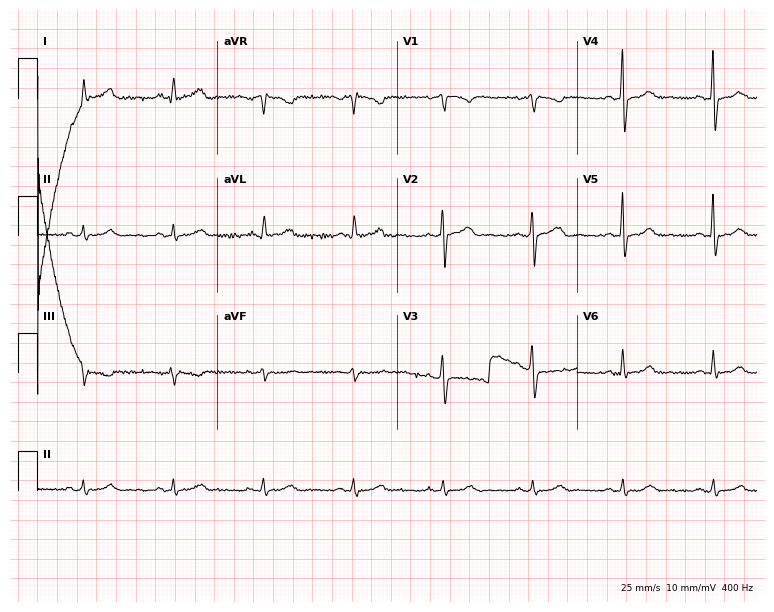
Standard 12-lead ECG recorded from a male patient, 54 years old. Read as a normal ECG.